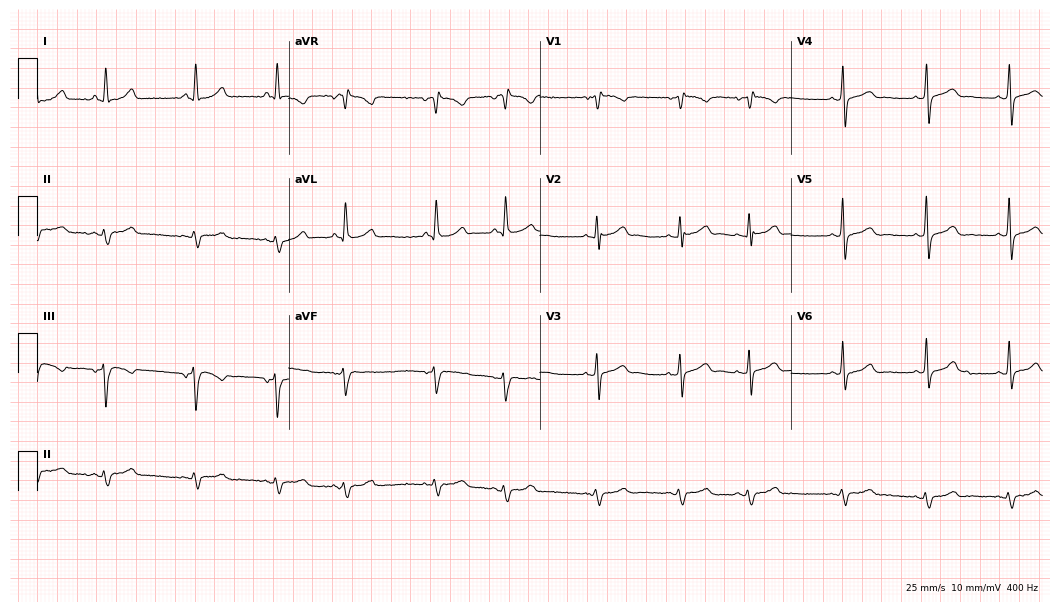
Standard 12-lead ECG recorded from a 70-year-old female patient. None of these six findings is recorded: first-degree AV block, right bundle branch block, left bundle branch block, sinus bradycardia, atrial fibrillation, sinus tachycardia.